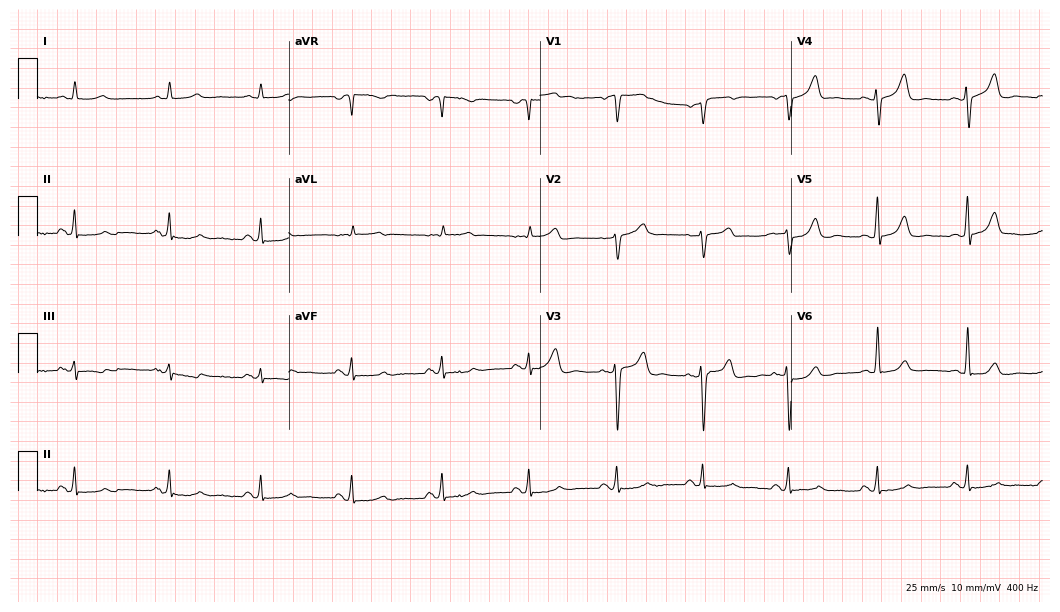
12-lead ECG from a male patient, 63 years old. Recorded interpretation: within normal limits.